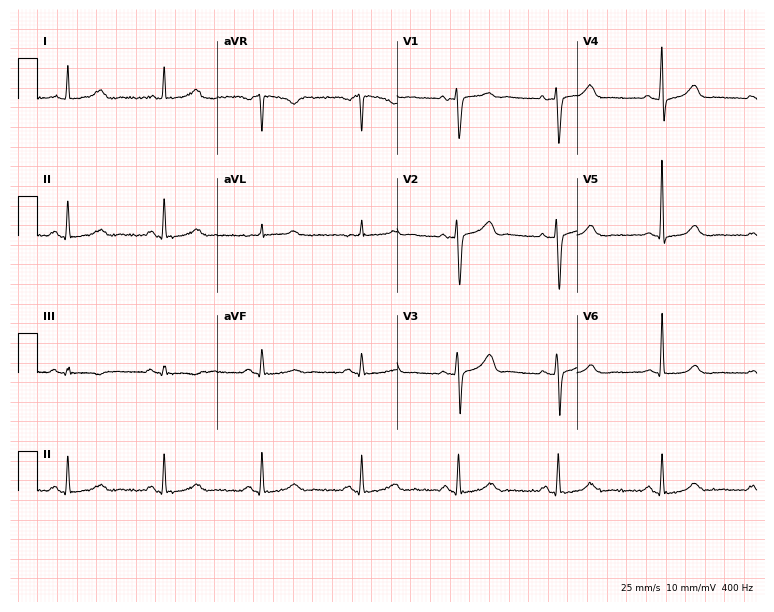
12-lead ECG from a female, 48 years old. No first-degree AV block, right bundle branch block, left bundle branch block, sinus bradycardia, atrial fibrillation or sinus tachycardia recorded for this tracing.